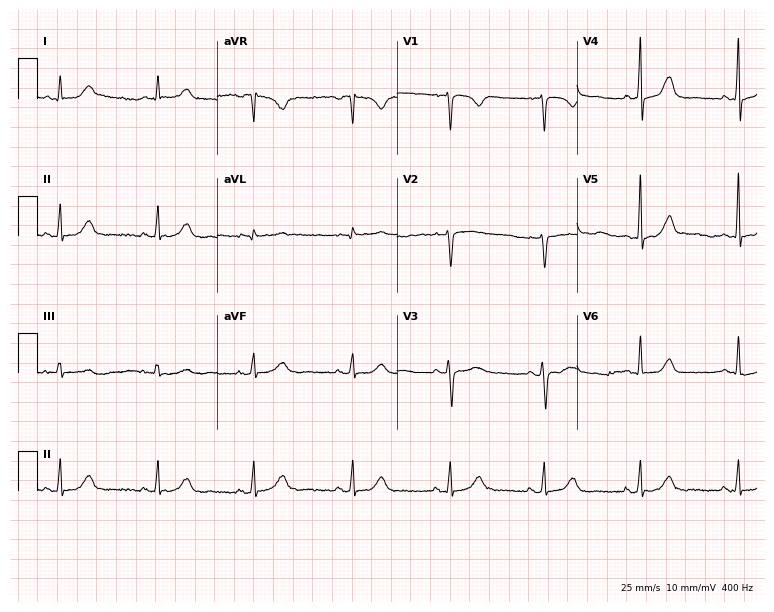
12-lead ECG from a female patient, 45 years old. No first-degree AV block, right bundle branch block (RBBB), left bundle branch block (LBBB), sinus bradycardia, atrial fibrillation (AF) or sinus tachycardia recorded for this tracing.